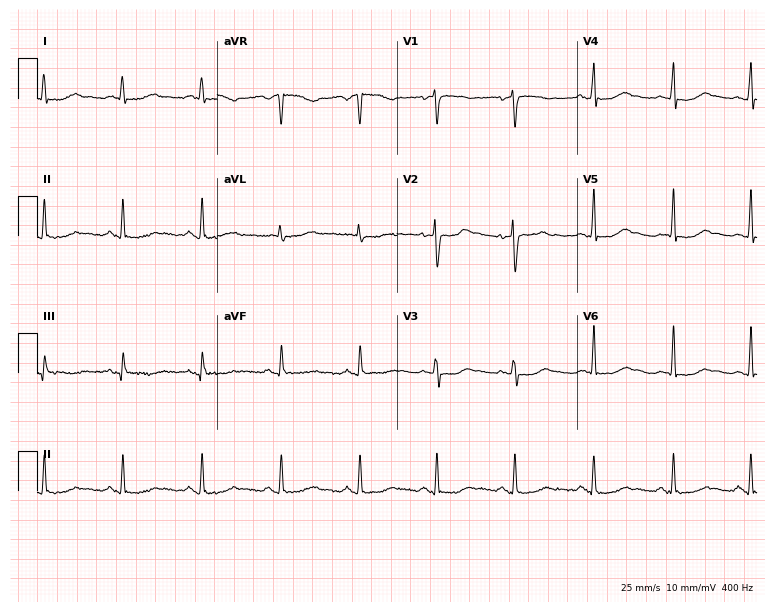
Standard 12-lead ECG recorded from a female patient, 36 years old. Read as a normal ECG.